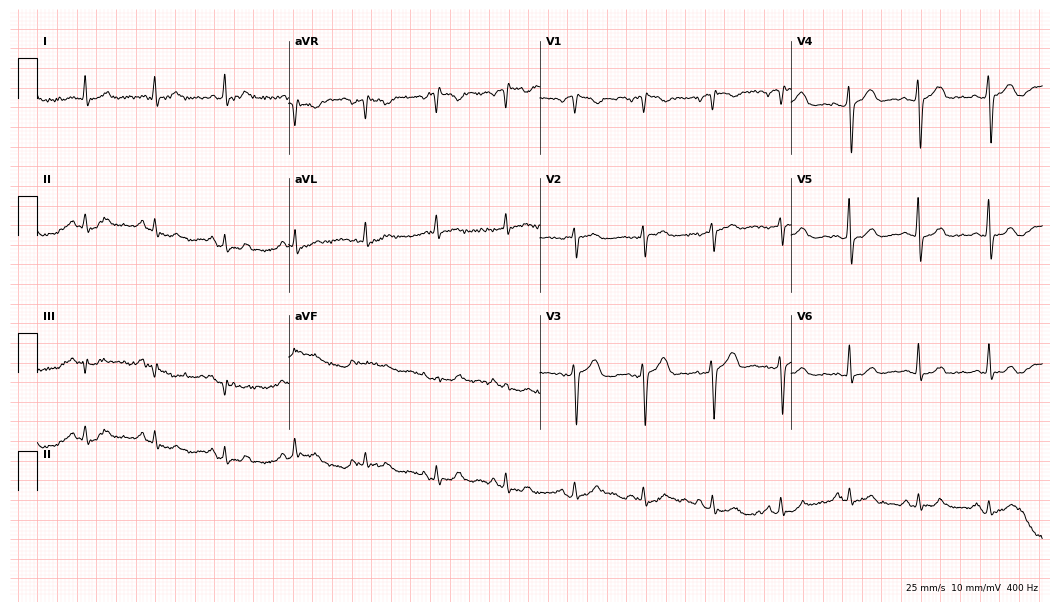
Resting 12-lead electrocardiogram (10.2-second recording at 400 Hz). Patient: a 51-year-old male. Read as a normal ECG.